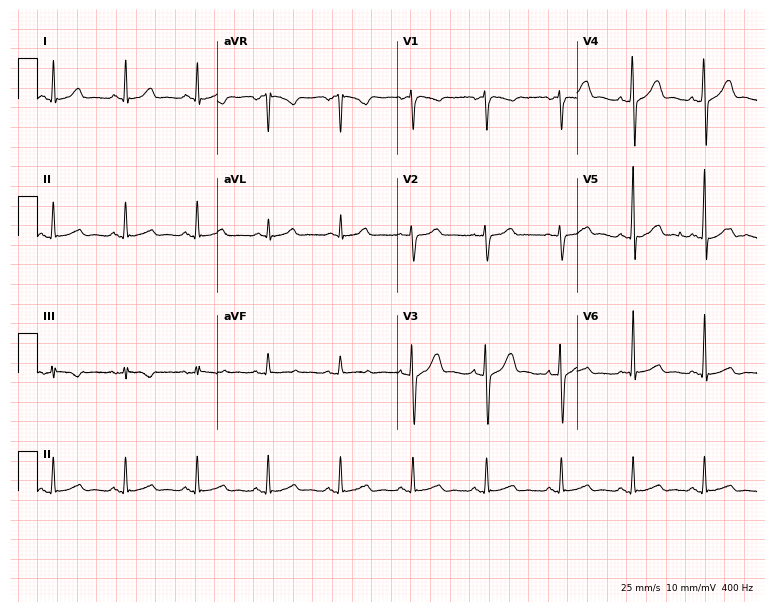
Standard 12-lead ECG recorded from a male, 34 years old. Read as a normal ECG.